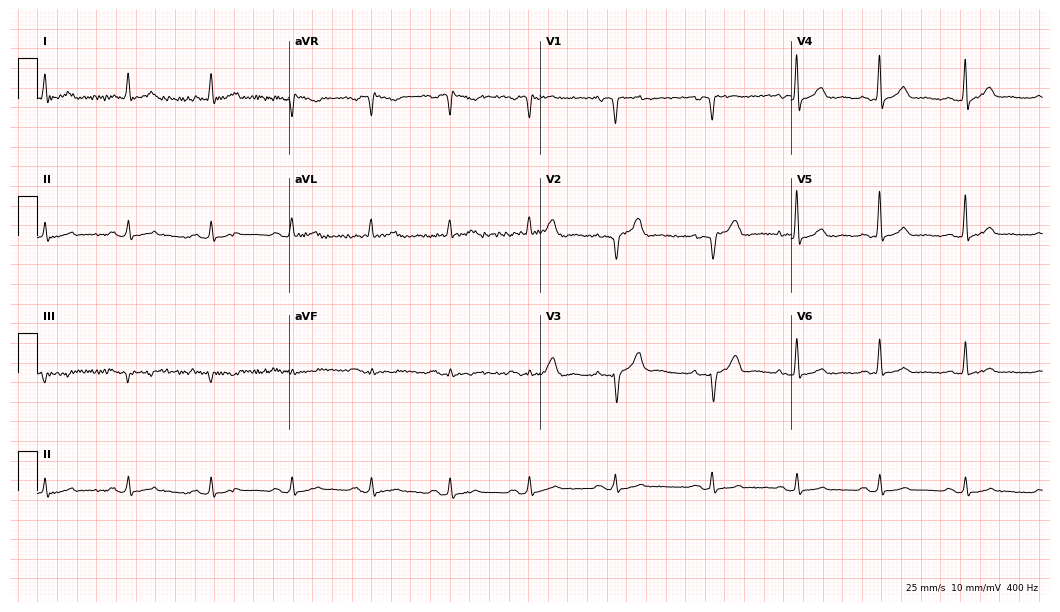
Resting 12-lead electrocardiogram. Patient: a man, 73 years old. None of these six findings is recorded: first-degree AV block, right bundle branch block, left bundle branch block, sinus bradycardia, atrial fibrillation, sinus tachycardia. Other findings, if any, are not listed.